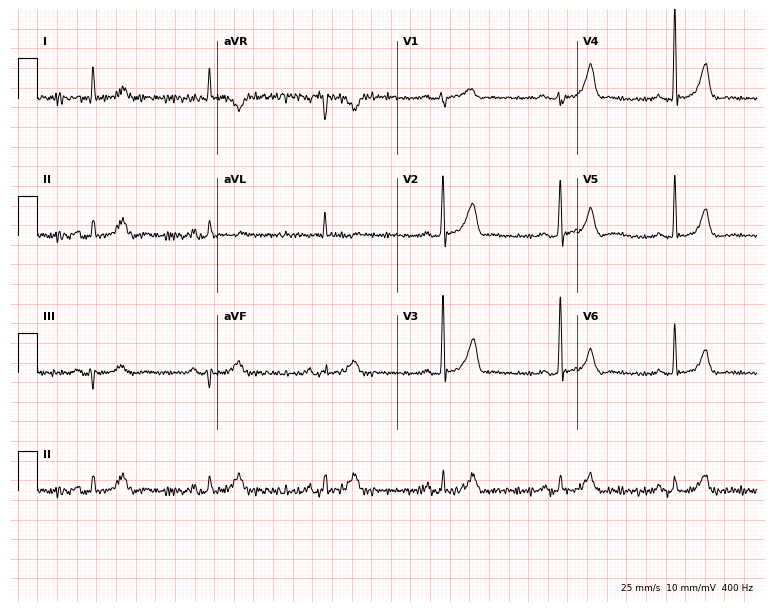
ECG (7.3-second recording at 400 Hz) — a 75-year-old man. Labelled as a normal ECG.